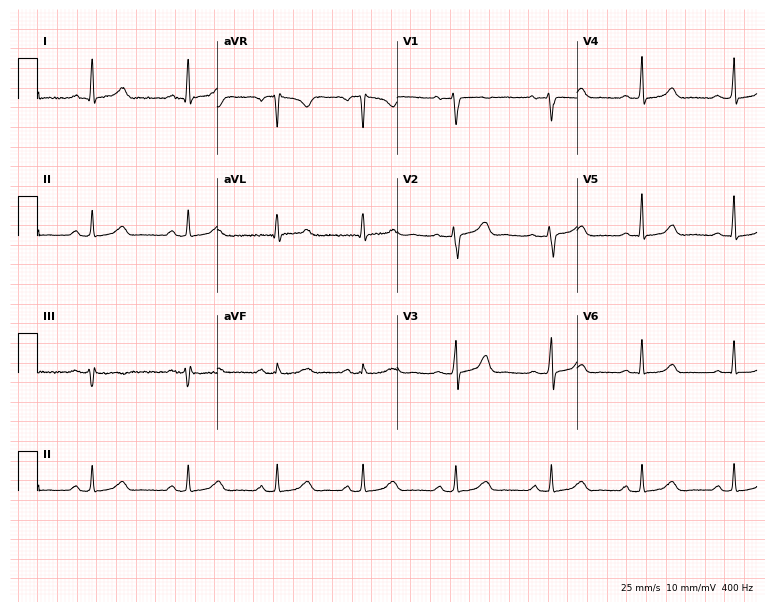
Standard 12-lead ECG recorded from a 47-year-old female. Read as a normal ECG.